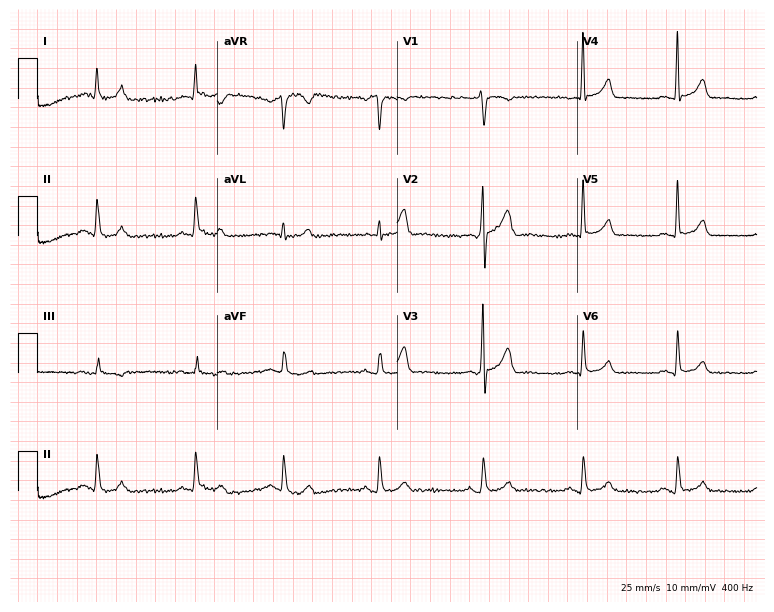
Resting 12-lead electrocardiogram (7.3-second recording at 400 Hz). Patient: a 42-year-old man. Read as a normal ECG.